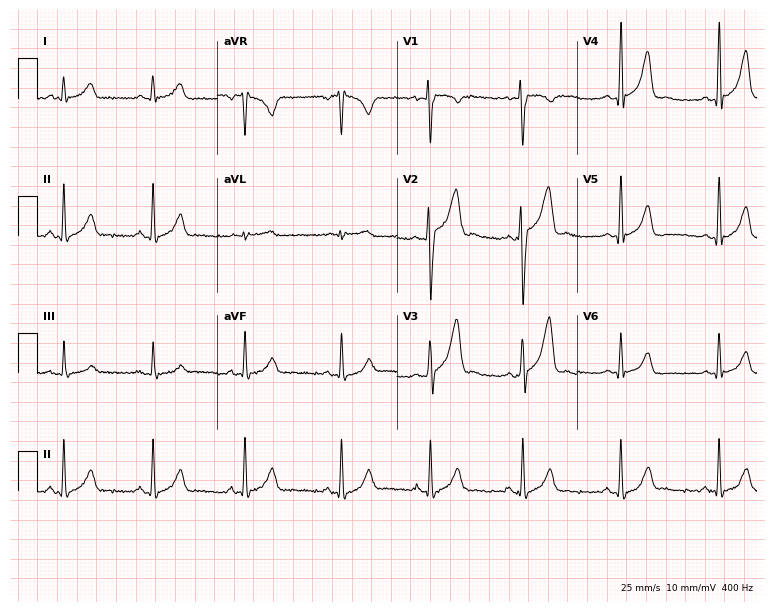
12-lead ECG (7.3-second recording at 400 Hz) from a 33-year-old male. Screened for six findings — first-degree AV block, right bundle branch block, left bundle branch block, sinus bradycardia, atrial fibrillation, sinus tachycardia — none is recorded.